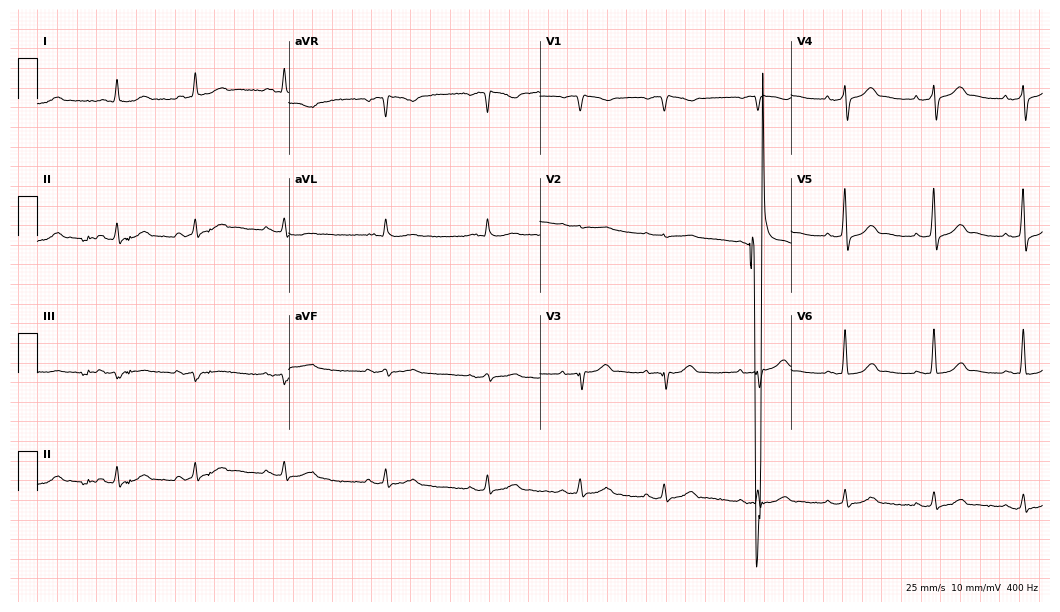
Electrocardiogram, a 62-year-old male patient. Overall reading on record: normal ECG.